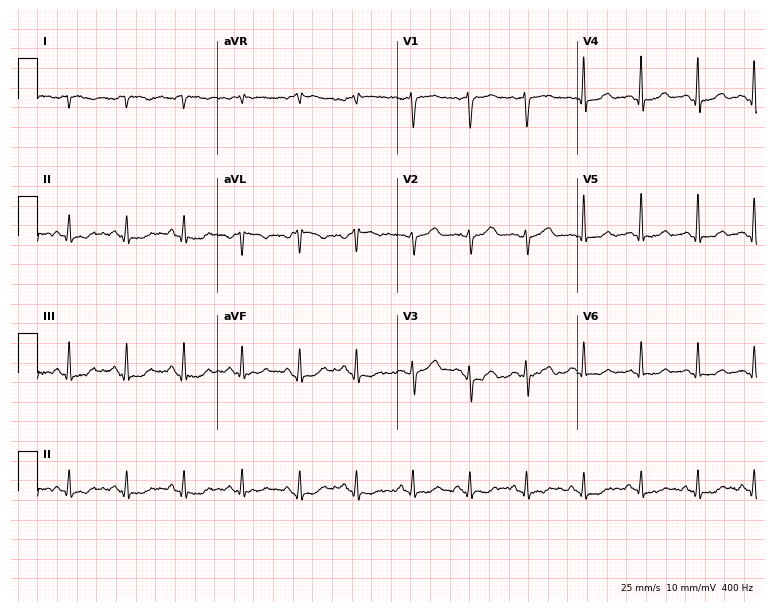
Standard 12-lead ECG recorded from a woman, 53 years old (7.3-second recording at 400 Hz). None of these six findings is recorded: first-degree AV block, right bundle branch block, left bundle branch block, sinus bradycardia, atrial fibrillation, sinus tachycardia.